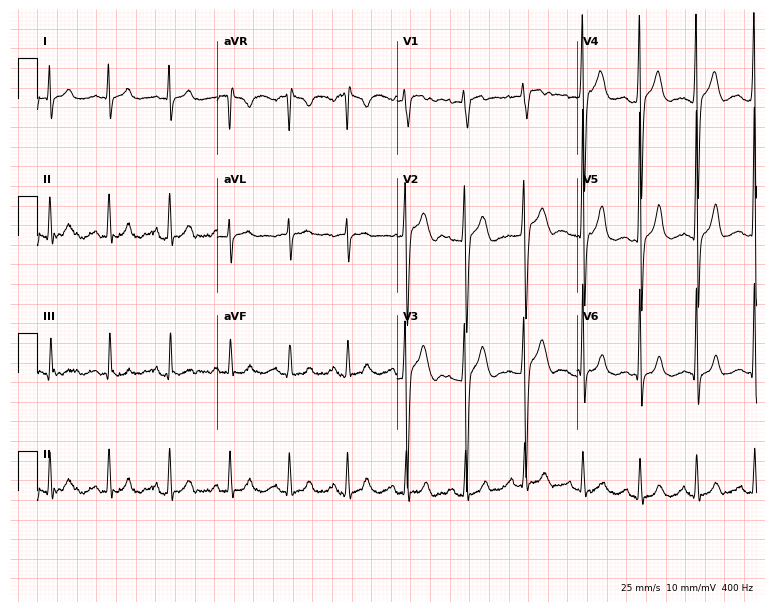
12-lead ECG from a male patient, 27 years old. Recorded interpretation: within normal limits.